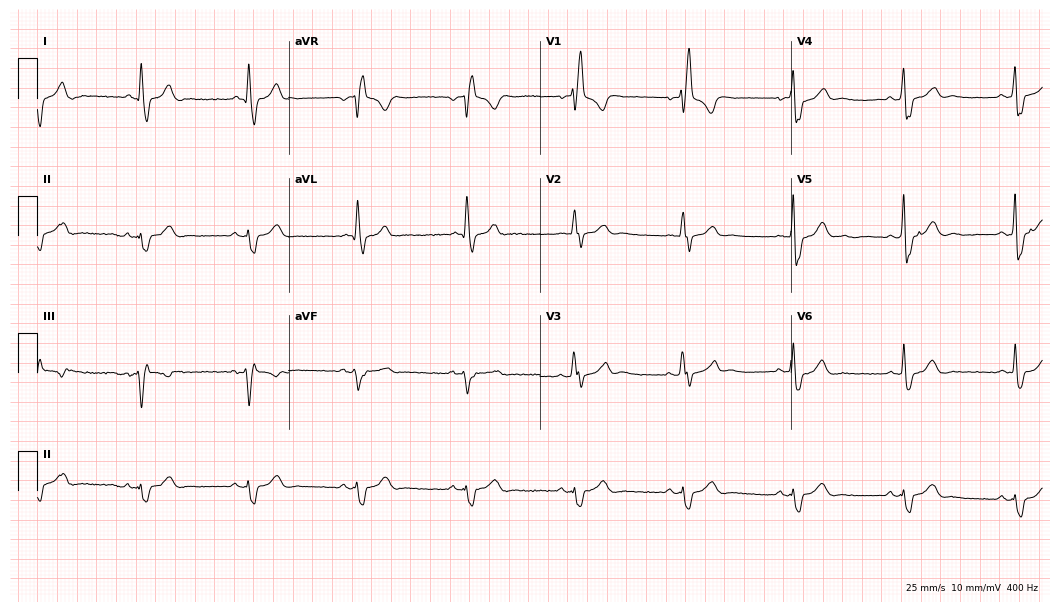
12-lead ECG (10.2-second recording at 400 Hz) from a man, 69 years old. Findings include right bundle branch block.